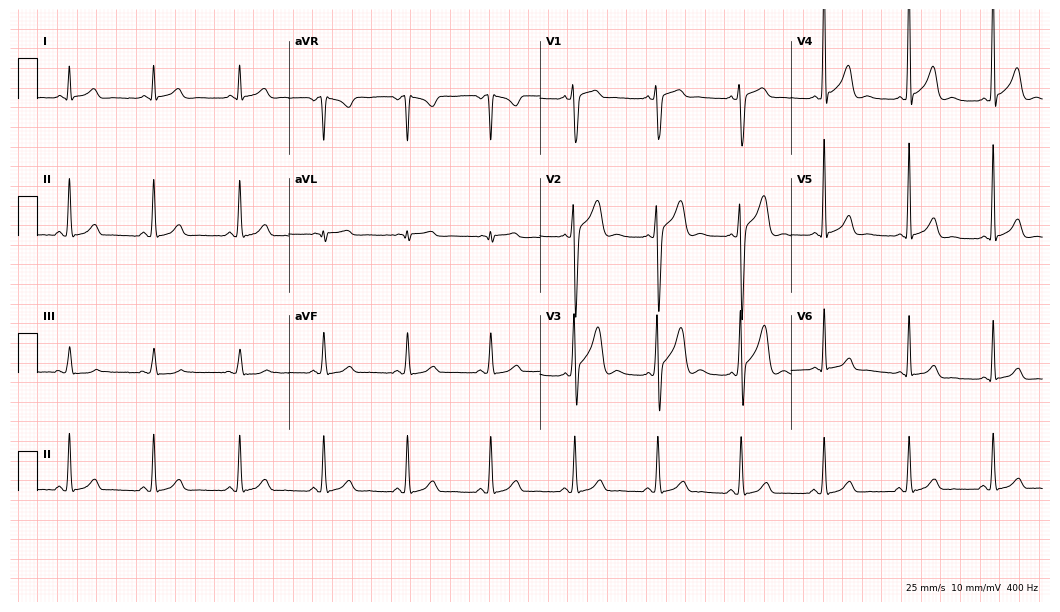
Electrocardiogram (10.2-second recording at 400 Hz), a male patient, 50 years old. Of the six screened findings (first-degree AV block, right bundle branch block, left bundle branch block, sinus bradycardia, atrial fibrillation, sinus tachycardia), none is recorded.